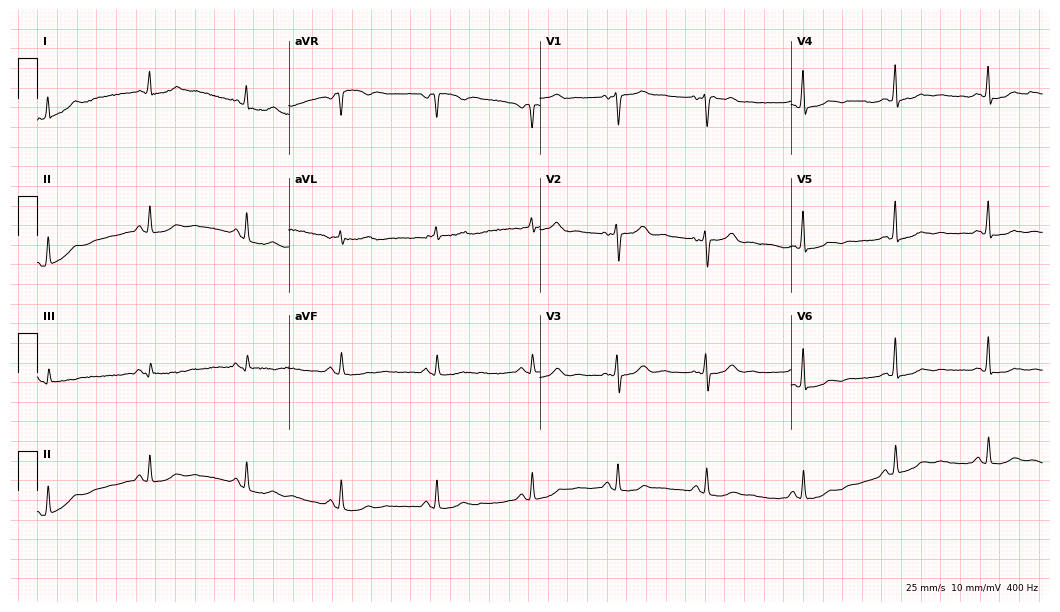
12-lead ECG from a 49-year-old female patient. No first-degree AV block, right bundle branch block, left bundle branch block, sinus bradycardia, atrial fibrillation or sinus tachycardia recorded for this tracing.